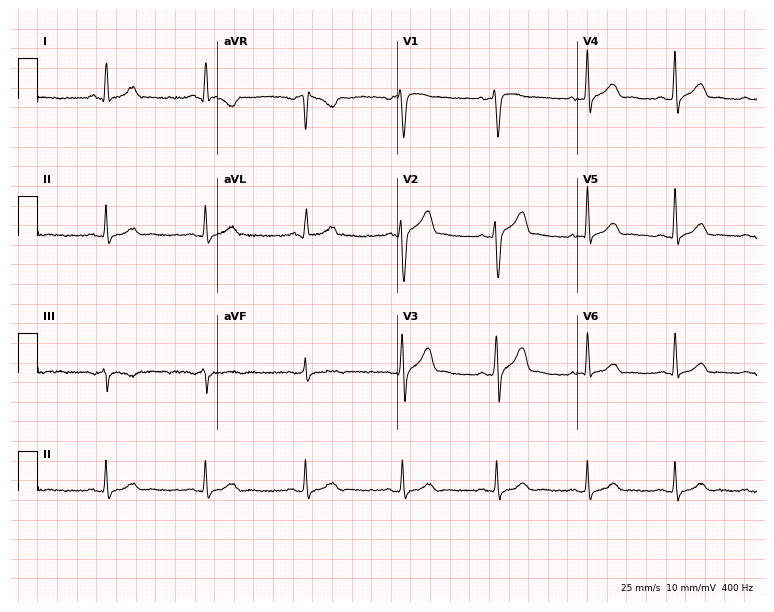
Standard 12-lead ECG recorded from a man, 42 years old. Read as a normal ECG.